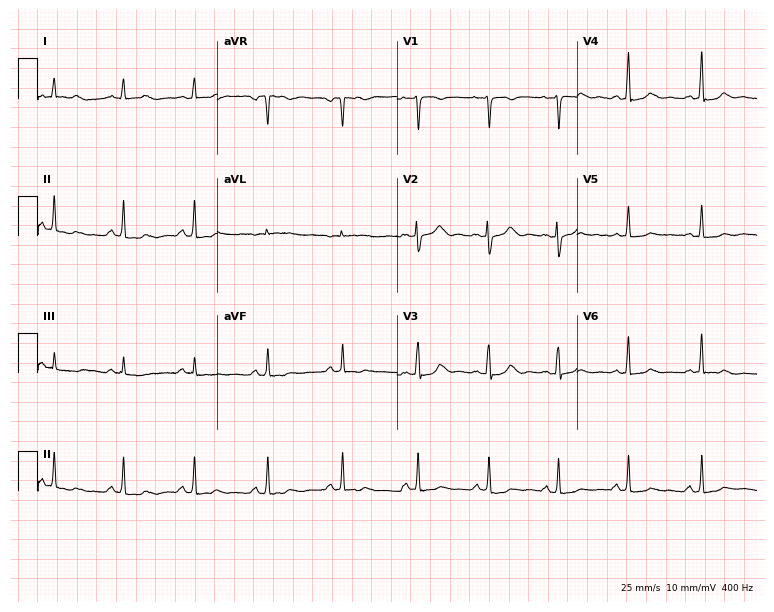
Standard 12-lead ECG recorded from a 38-year-old female (7.3-second recording at 400 Hz). Read as a normal ECG.